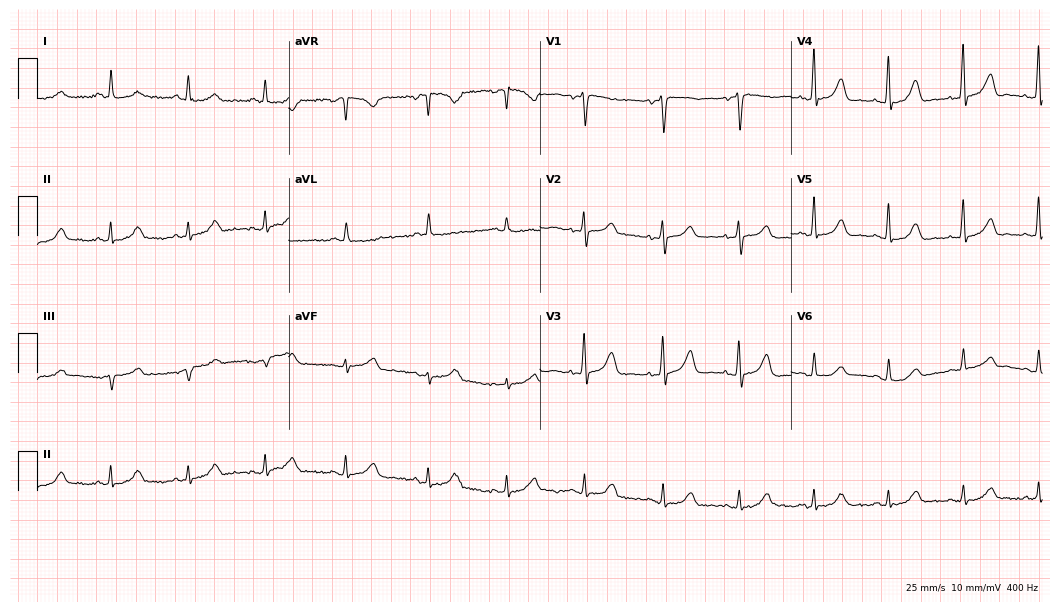
Resting 12-lead electrocardiogram. Patient: a woman, 43 years old. Read as a normal ECG.